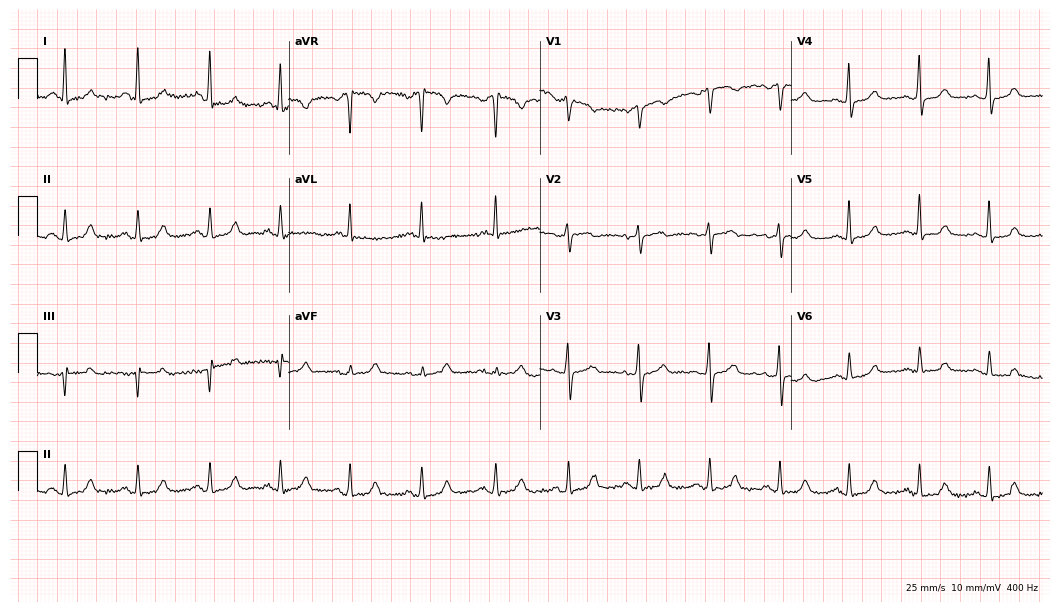
Resting 12-lead electrocardiogram. Patient: a woman, 62 years old. Read as a normal ECG.